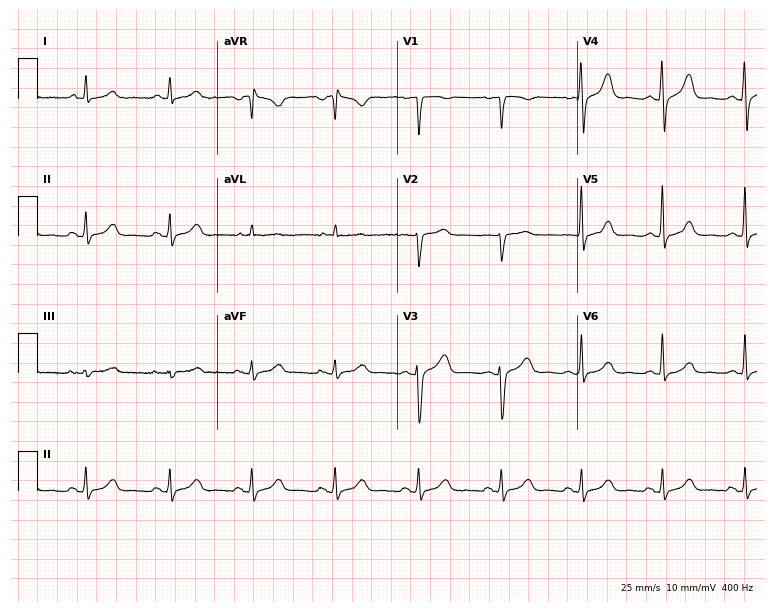
ECG (7.3-second recording at 400 Hz) — a 42-year-old female. Screened for six findings — first-degree AV block, right bundle branch block, left bundle branch block, sinus bradycardia, atrial fibrillation, sinus tachycardia — none is recorded. Only these six findings were labelled.